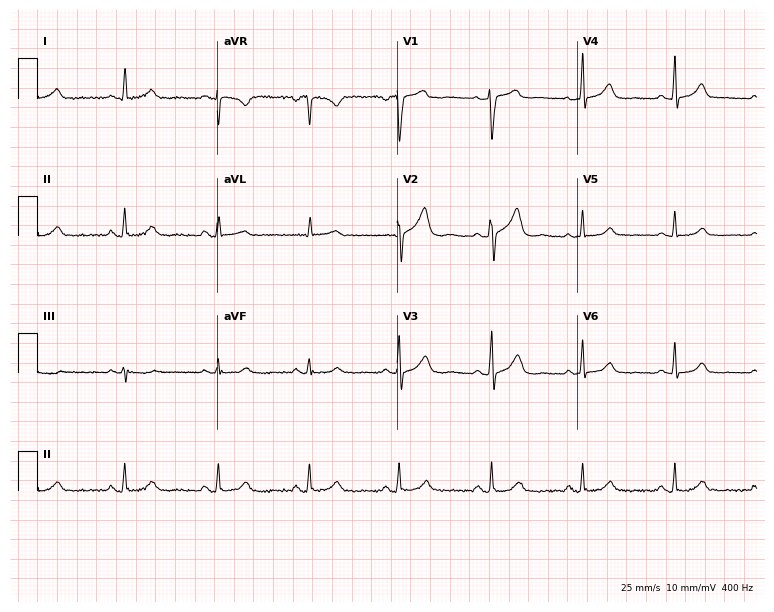
Resting 12-lead electrocardiogram. Patient: a 62-year-old male. Read as a normal ECG.